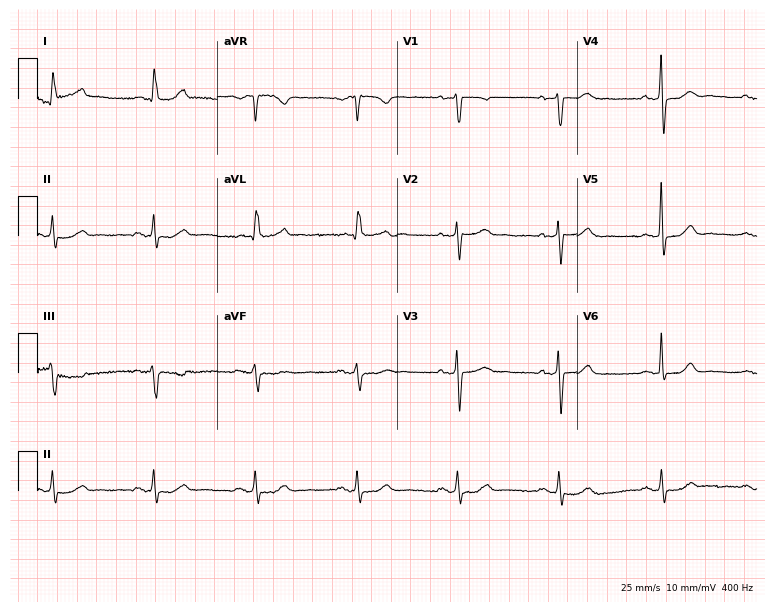
ECG — a female patient, 62 years old. Labelled as a normal ECG.